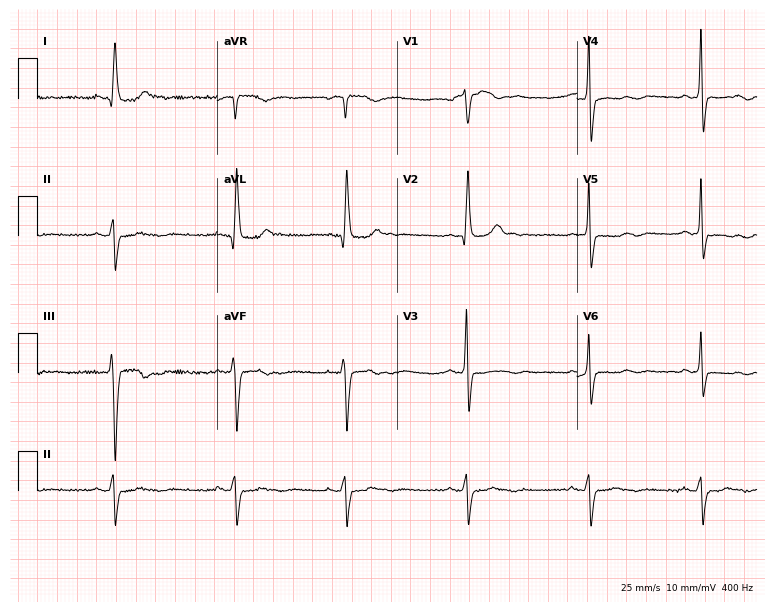
12-lead ECG from a man, 68 years old (7.3-second recording at 400 Hz). Shows sinus bradycardia (a sinus rate of 50 beats per minute or less).